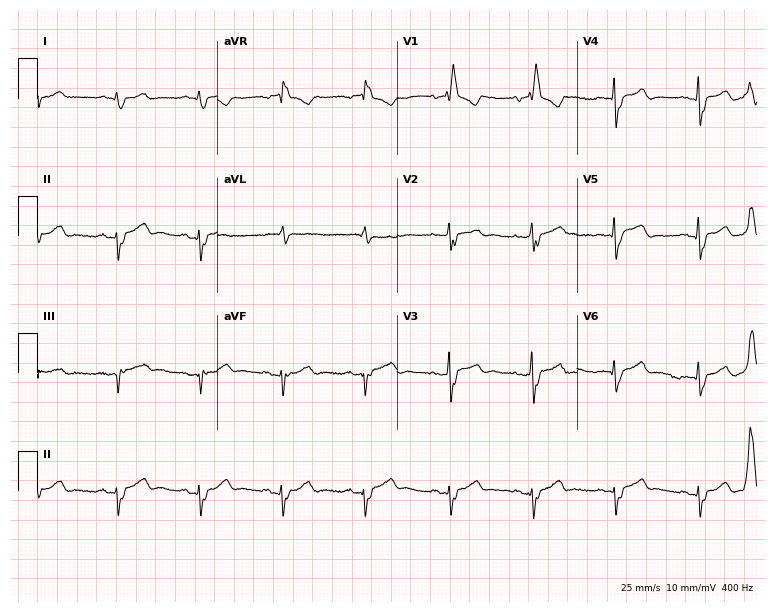
Standard 12-lead ECG recorded from a 78-year-old male patient. The tracing shows right bundle branch block.